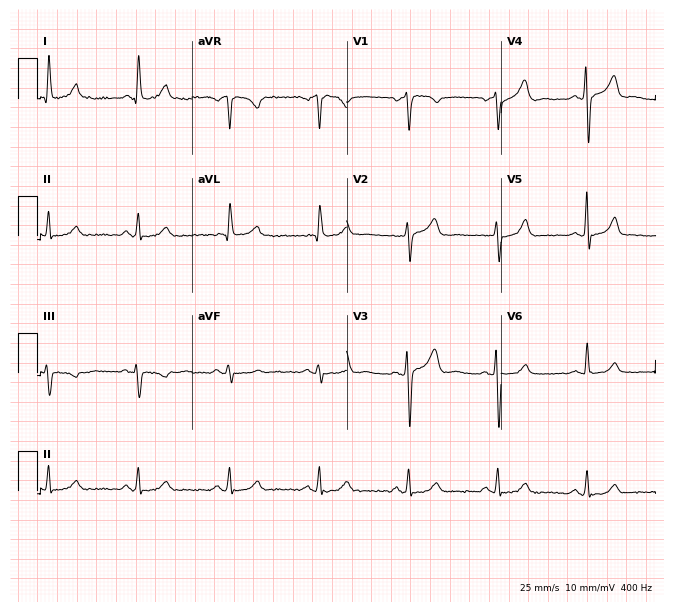
Standard 12-lead ECG recorded from a 52-year-old man. None of these six findings is recorded: first-degree AV block, right bundle branch block (RBBB), left bundle branch block (LBBB), sinus bradycardia, atrial fibrillation (AF), sinus tachycardia.